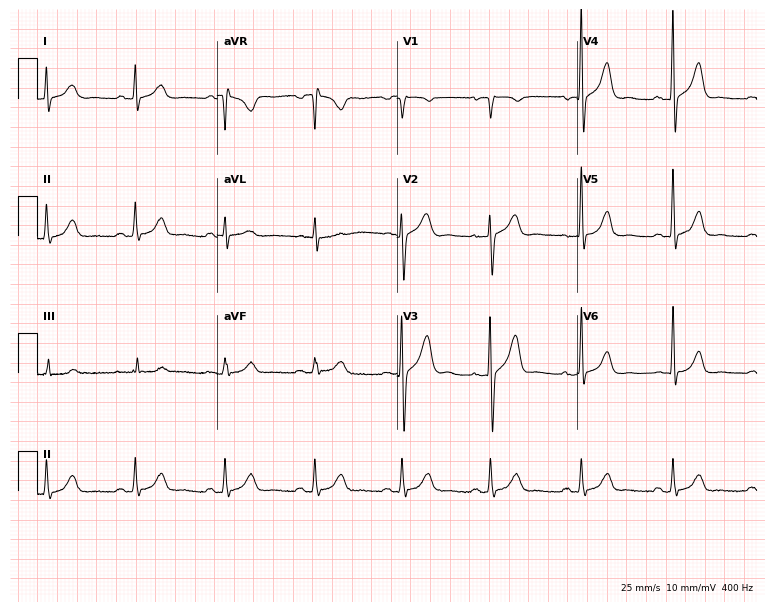
Resting 12-lead electrocardiogram. Patient: a man, 62 years old. None of these six findings is recorded: first-degree AV block, right bundle branch block, left bundle branch block, sinus bradycardia, atrial fibrillation, sinus tachycardia. Other findings, if any, are not listed.